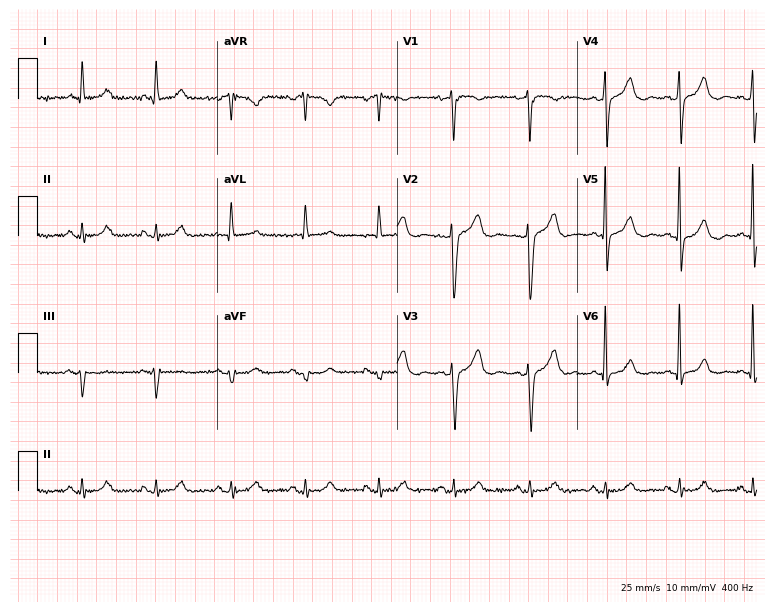
Resting 12-lead electrocardiogram. Patient: a 74-year-old female. Read as a normal ECG.